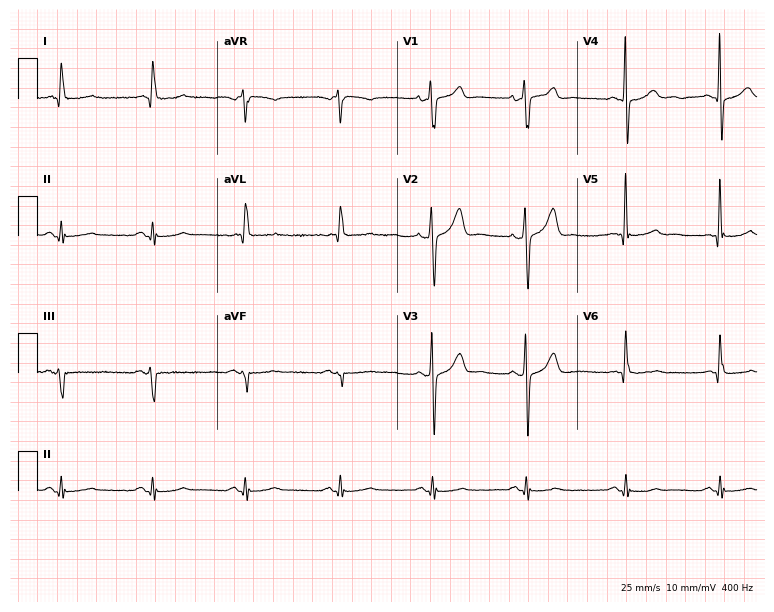
Resting 12-lead electrocardiogram. Patient: a 60-year-old man. Read as a normal ECG.